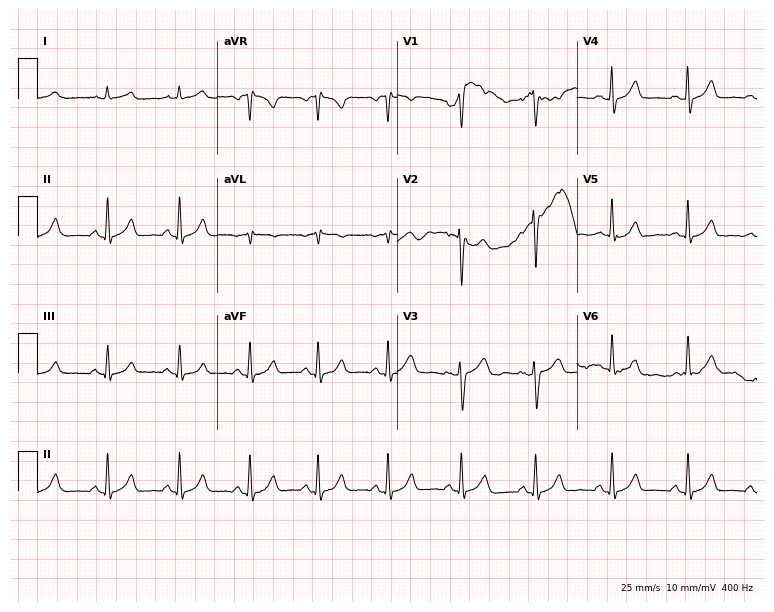
12-lead ECG (7.3-second recording at 400 Hz) from a female, 53 years old. Labelled as a normal ECG.